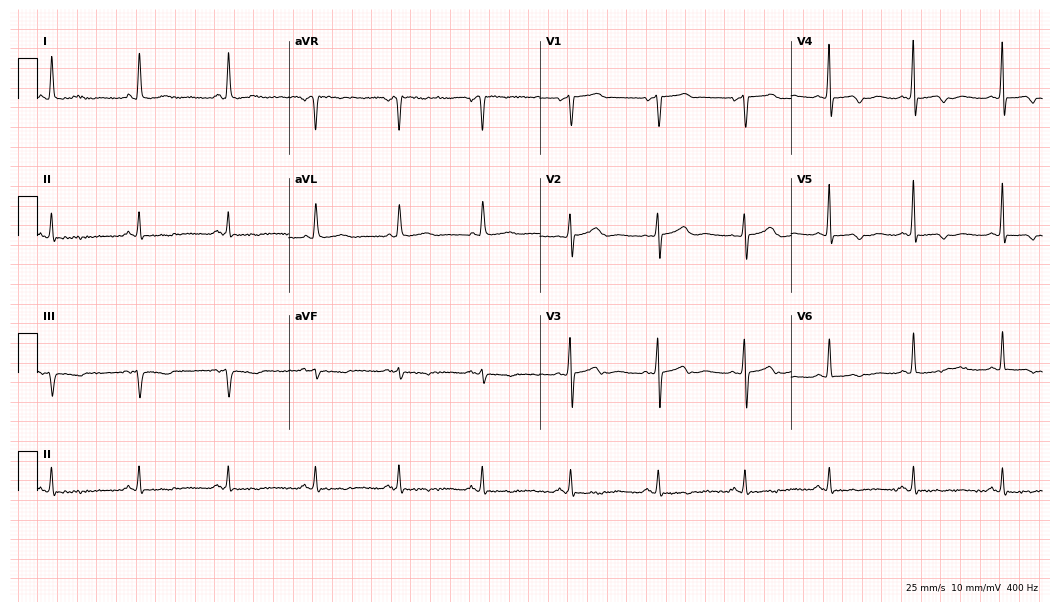
Resting 12-lead electrocardiogram. Patient: a female, 55 years old. None of these six findings is recorded: first-degree AV block, right bundle branch block, left bundle branch block, sinus bradycardia, atrial fibrillation, sinus tachycardia. Other findings, if any, are not listed.